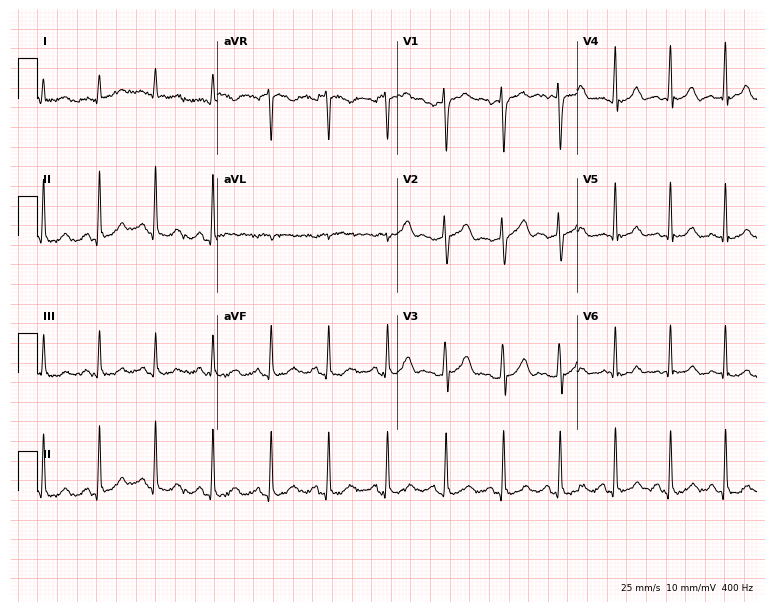
Standard 12-lead ECG recorded from a 28-year-old male (7.3-second recording at 400 Hz). Read as a normal ECG.